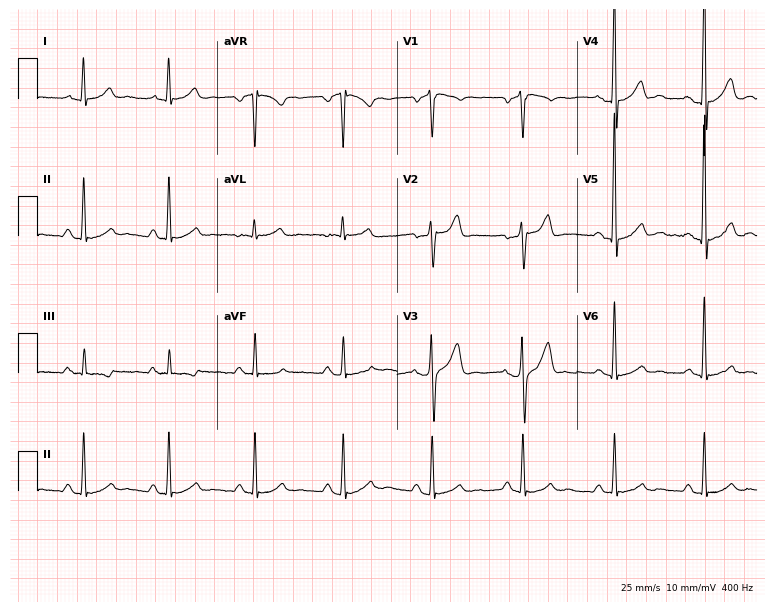
12-lead ECG from a 54-year-old male patient. Recorded interpretation: within normal limits.